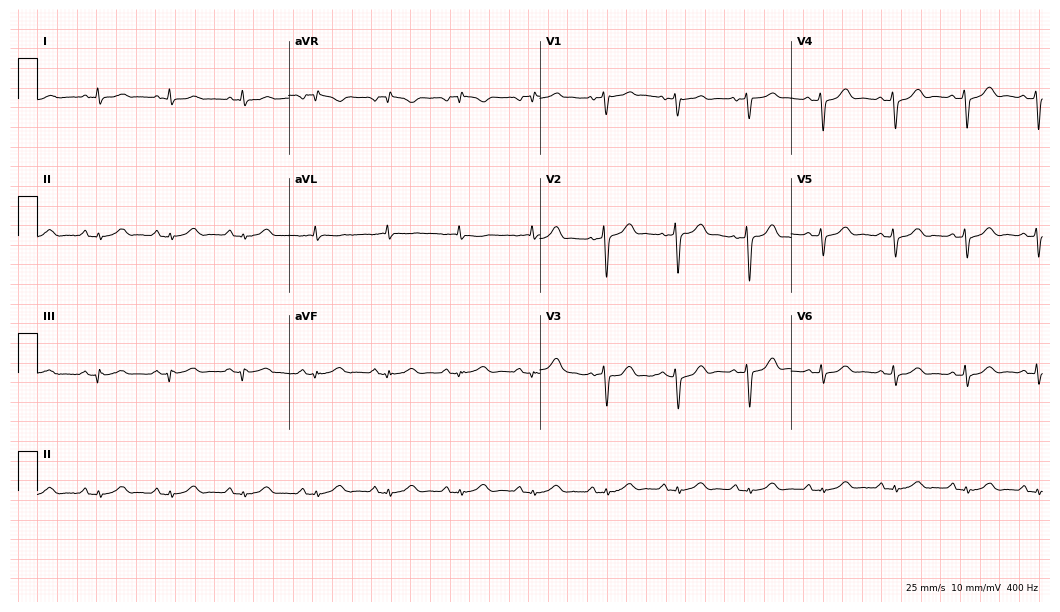
Resting 12-lead electrocardiogram (10.2-second recording at 400 Hz). Patient: a 76-year-old female. None of these six findings is recorded: first-degree AV block, right bundle branch block, left bundle branch block, sinus bradycardia, atrial fibrillation, sinus tachycardia. Findings outside these six are not listed.